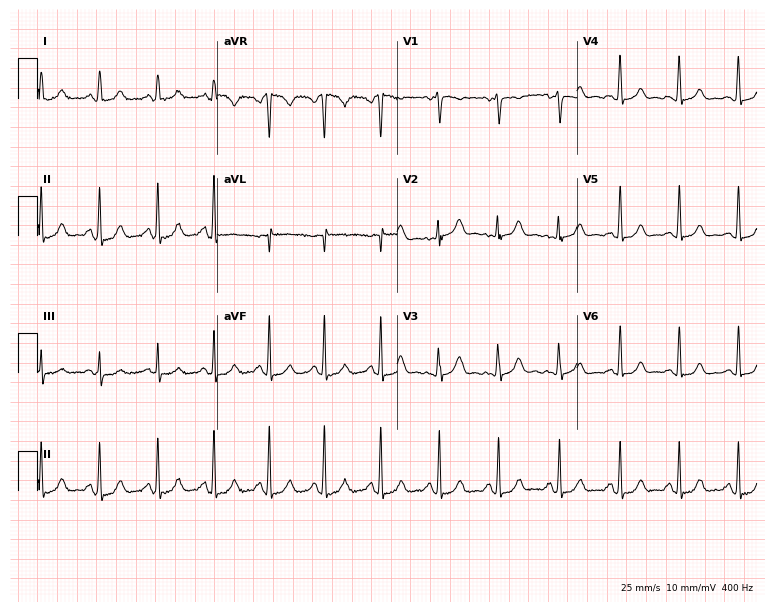
12-lead ECG from a female, 33 years old. Findings include sinus tachycardia (a sinus rate of 100 beats per minute or more).